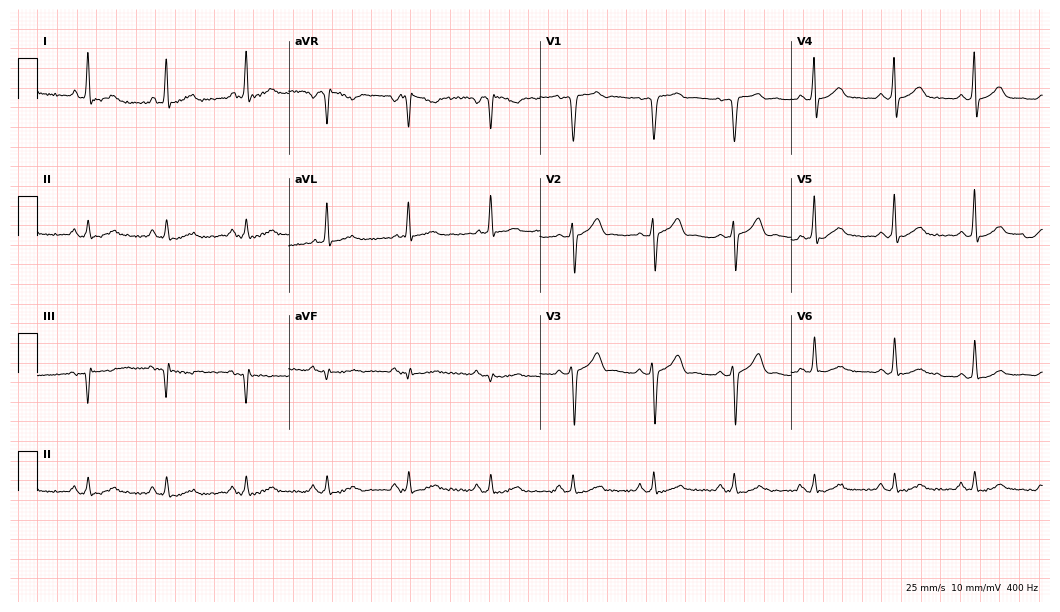
12-lead ECG from a man, 63 years old (10.2-second recording at 400 Hz). No first-degree AV block, right bundle branch block, left bundle branch block, sinus bradycardia, atrial fibrillation or sinus tachycardia recorded for this tracing.